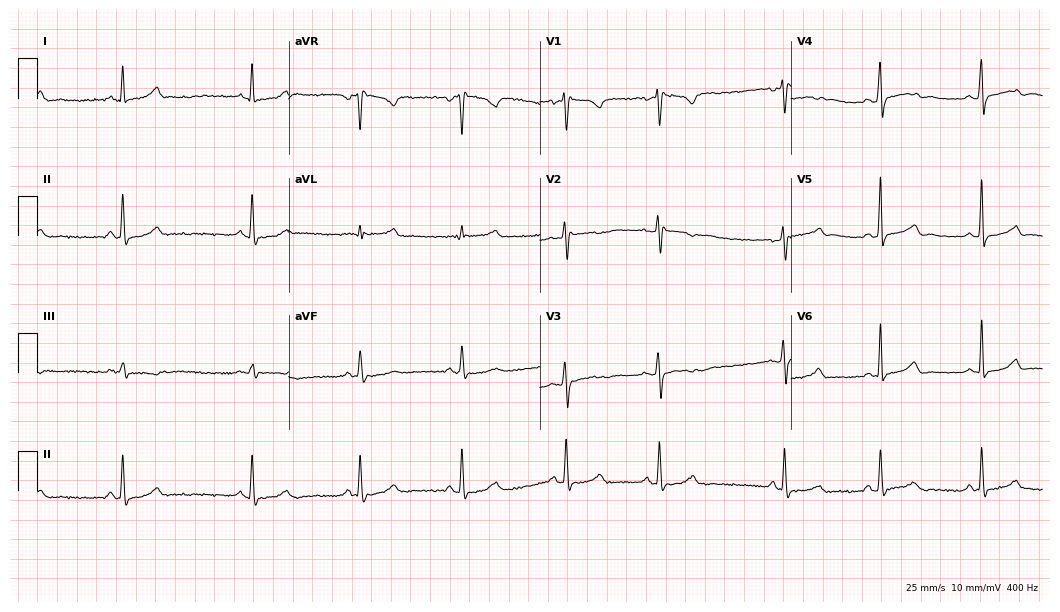
Electrocardiogram (10.2-second recording at 400 Hz), a female, 29 years old. Overall reading on record: normal ECG.